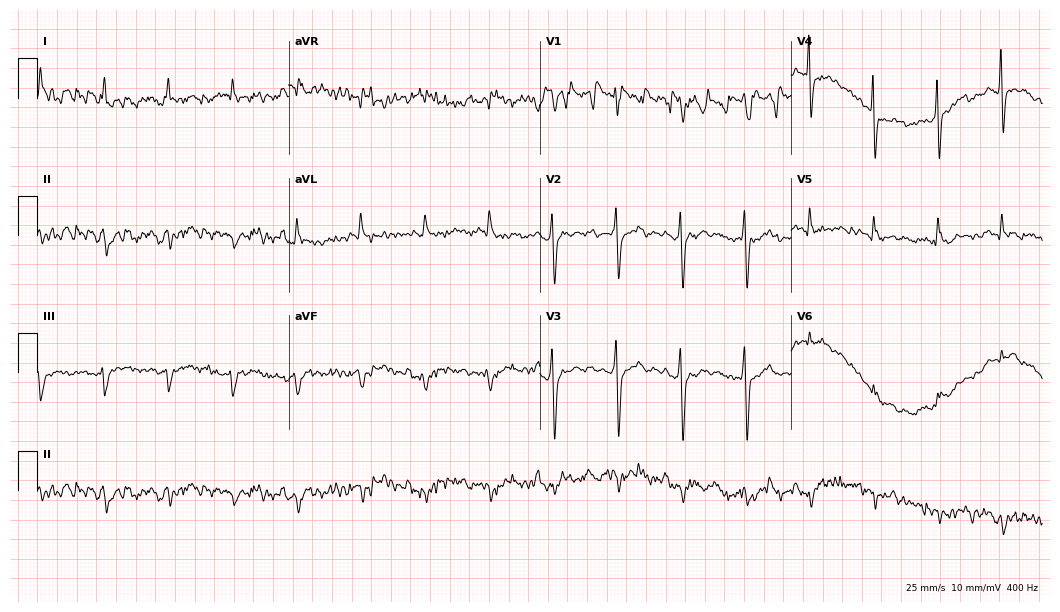
Standard 12-lead ECG recorded from an 80-year-old male patient. None of these six findings is recorded: first-degree AV block, right bundle branch block, left bundle branch block, sinus bradycardia, atrial fibrillation, sinus tachycardia.